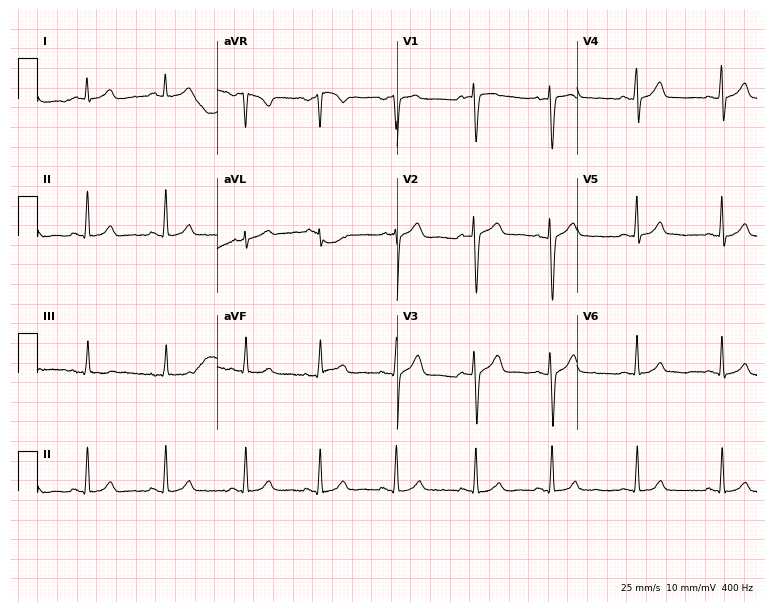
ECG — a 32-year-old woman. Screened for six findings — first-degree AV block, right bundle branch block (RBBB), left bundle branch block (LBBB), sinus bradycardia, atrial fibrillation (AF), sinus tachycardia — none is recorded. Only these six findings were labelled.